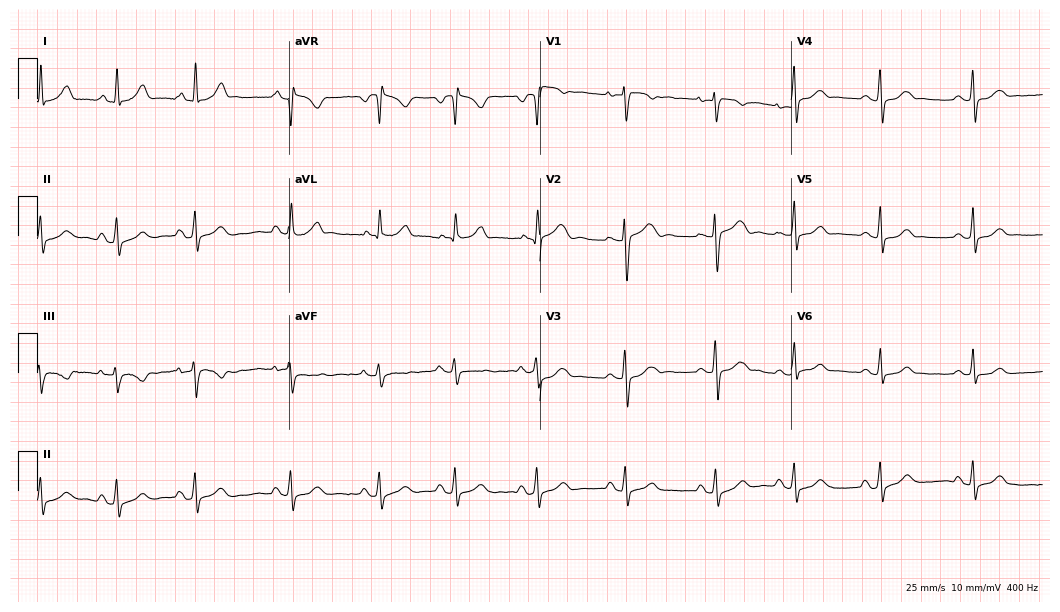
12-lead ECG from a 24-year-old female. Recorded interpretation: within normal limits.